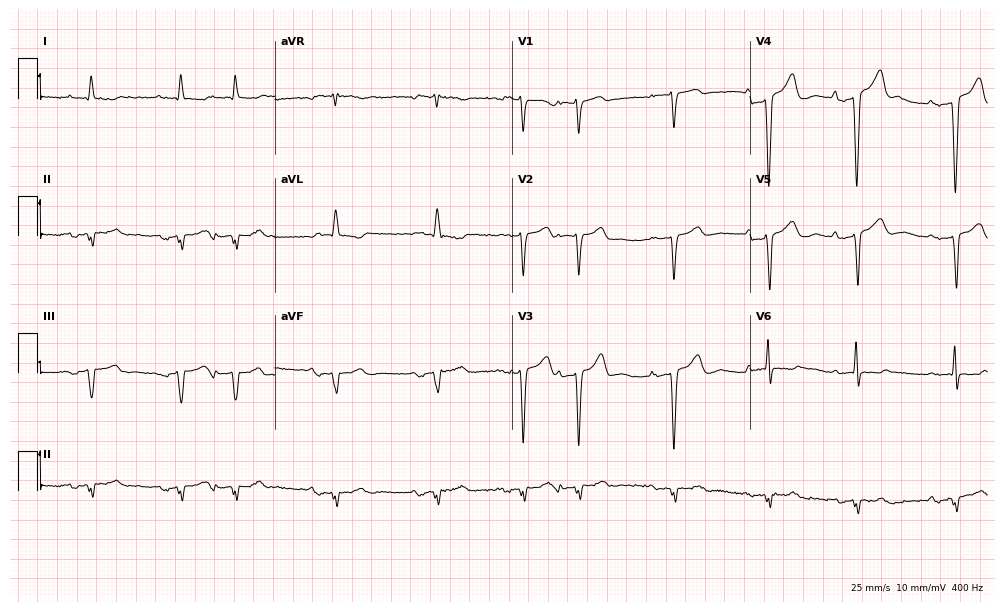
Resting 12-lead electrocardiogram. Patient: an 80-year-old man. None of these six findings is recorded: first-degree AV block, right bundle branch block (RBBB), left bundle branch block (LBBB), sinus bradycardia, atrial fibrillation (AF), sinus tachycardia.